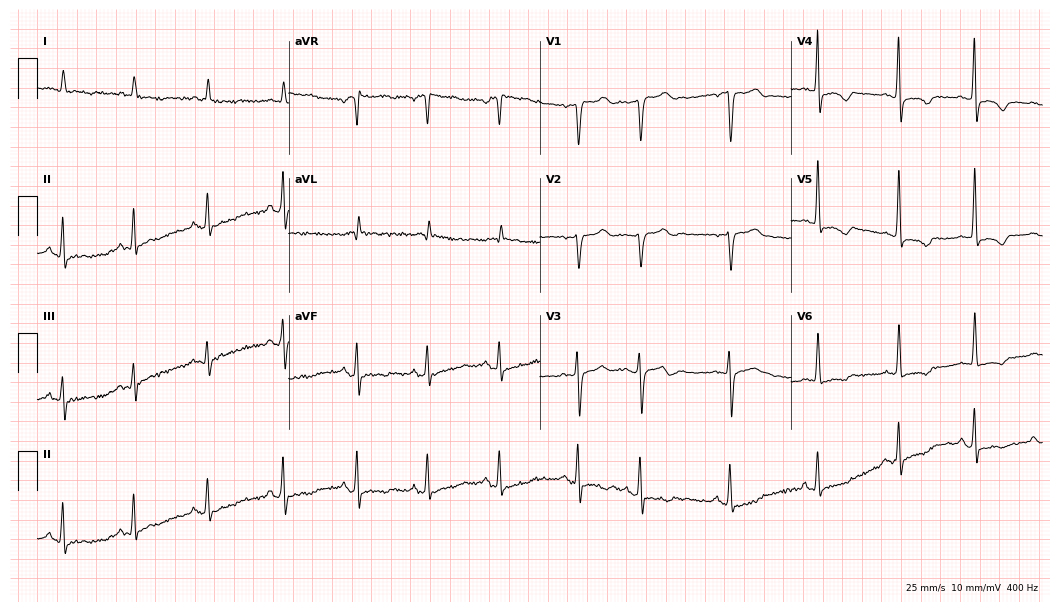
12-lead ECG from an 83-year-old male patient. Screened for six findings — first-degree AV block, right bundle branch block, left bundle branch block, sinus bradycardia, atrial fibrillation, sinus tachycardia — none is recorded.